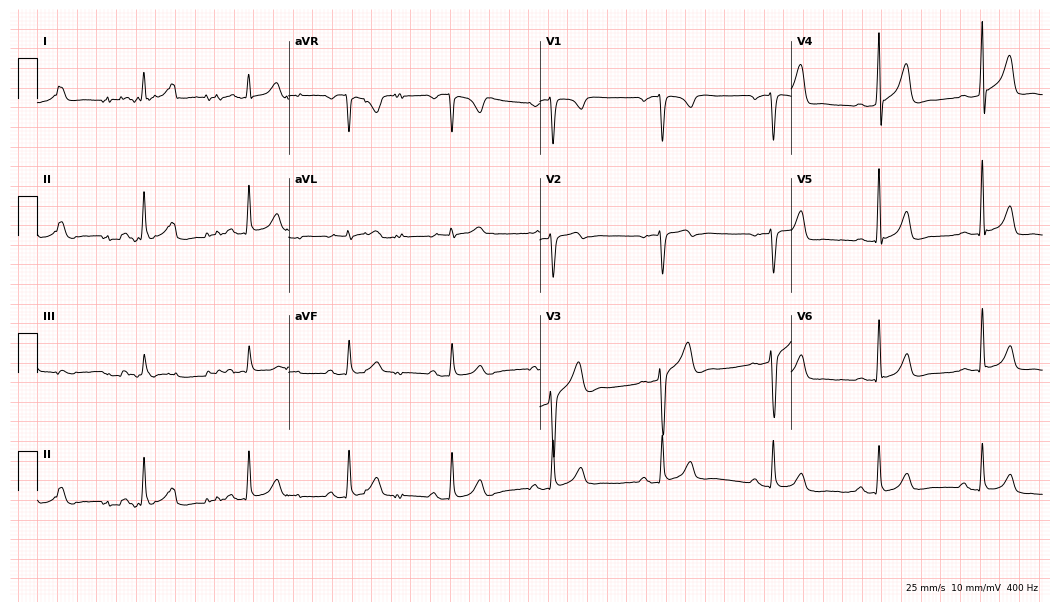
12-lead ECG from a 33-year-old man (10.2-second recording at 400 Hz). Recorded interpretation: within normal limits.